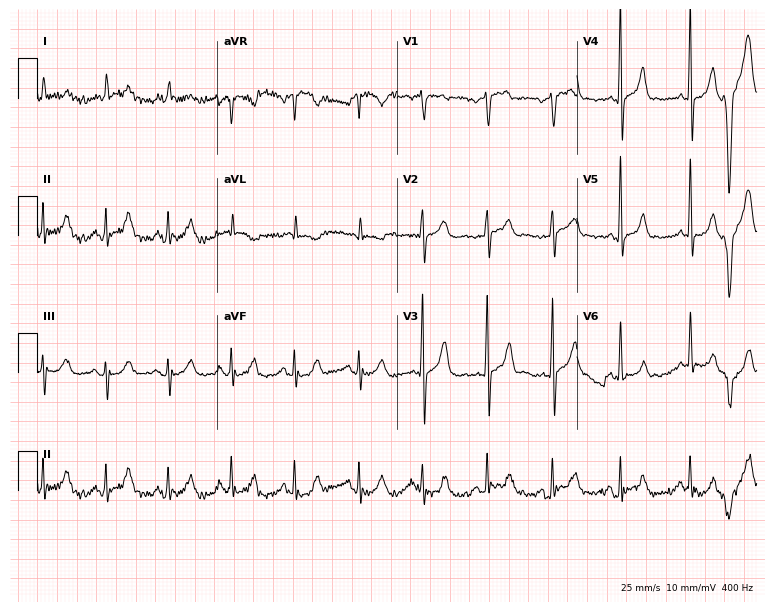
Standard 12-lead ECG recorded from a 72-year-old male (7.3-second recording at 400 Hz). None of these six findings is recorded: first-degree AV block, right bundle branch block, left bundle branch block, sinus bradycardia, atrial fibrillation, sinus tachycardia. Only these six findings were labelled.